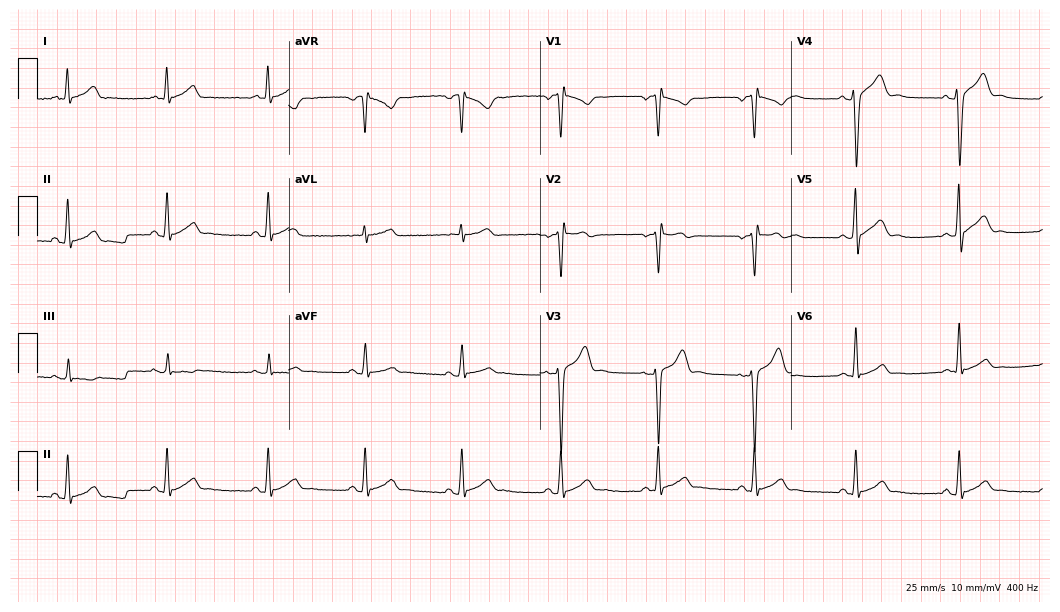
Electrocardiogram (10.2-second recording at 400 Hz), a male, 22 years old. Of the six screened findings (first-degree AV block, right bundle branch block, left bundle branch block, sinus bradycardia, atrial fibrillation, sinus tachycardia), none is recorded. Findings outside these six are not listed.